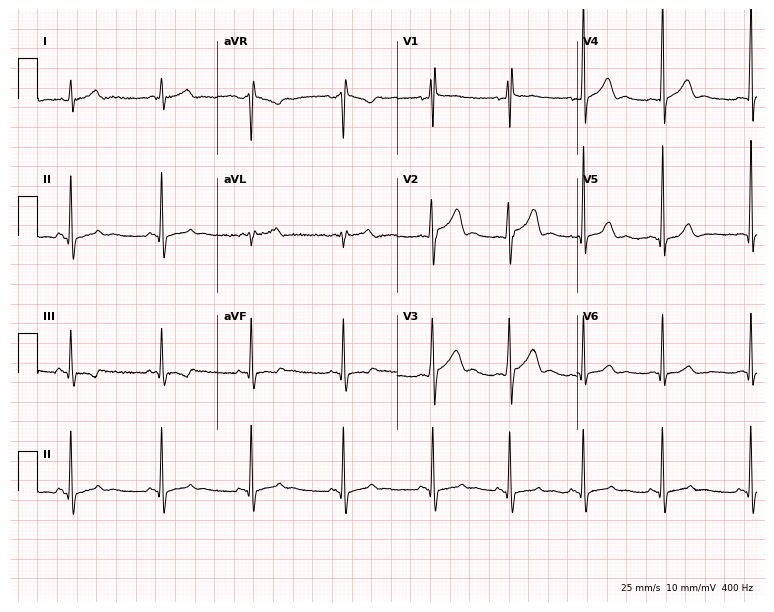
ECG — a male, 18 years old. Screened for six findings — first-degree AV block, right bundle branch block, left bundle branch block, sinus bradycardia, atrial fibrillation, sinus tachycardia — none is recorded. Only these six findings were labelled.